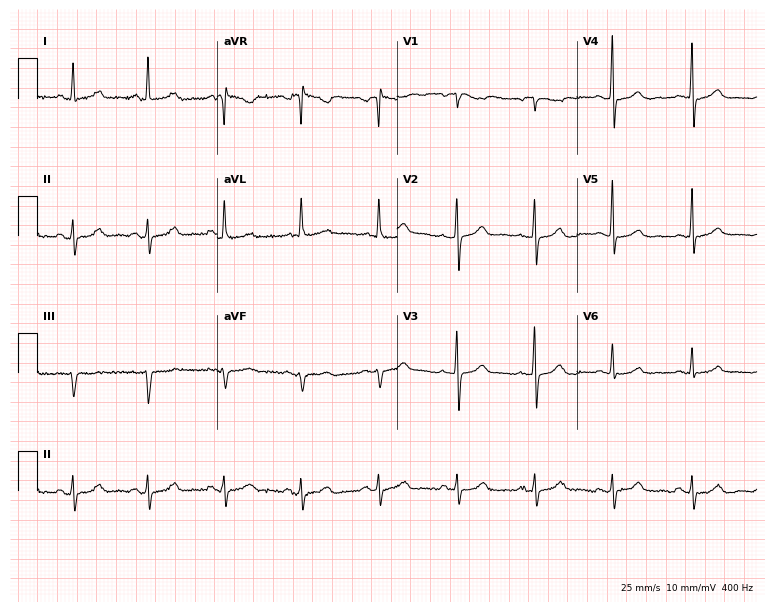
Resting 12-lead electrocardiogram (7.3-second recording at 400 Hz). Patient: a 67-year-old female. Read as a normal ECG.